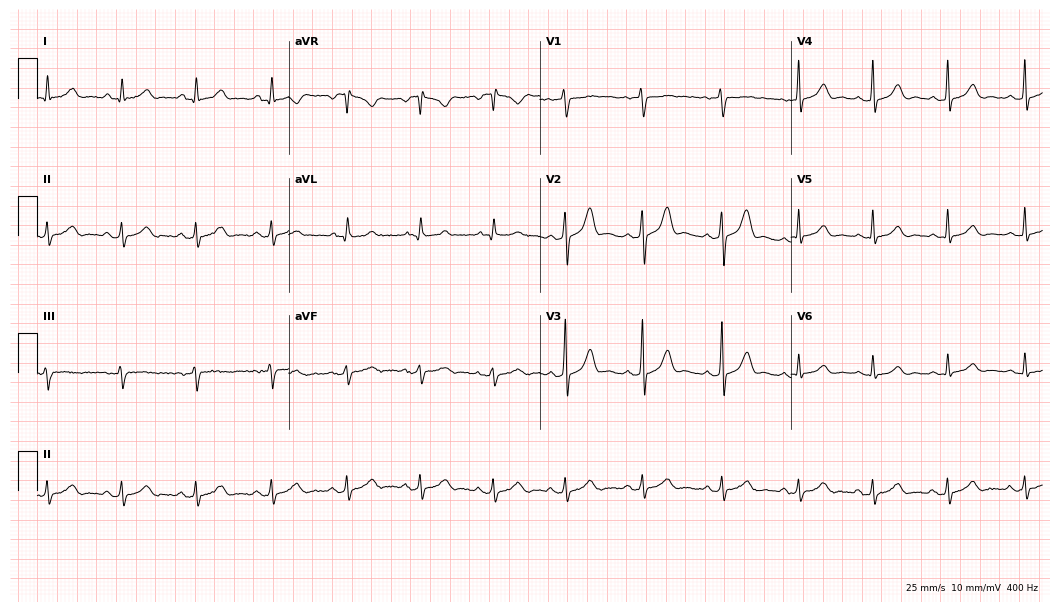
Resting 12-lead electrocardiogram (10.2-second recording at 400 Hz). Patient: a male, 27 years old. Read as a normal ECG.